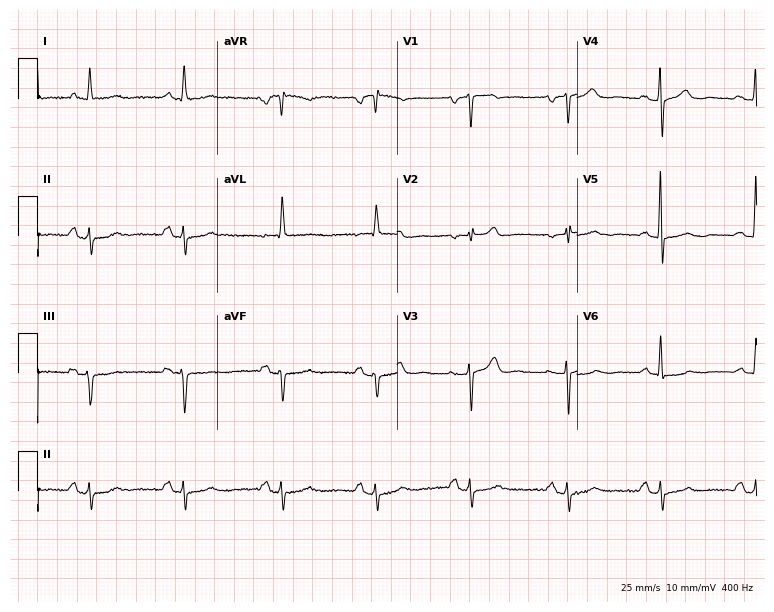
Electrocardiogram (7.3-second recording at 400 Hz), a female patient, 70 years old. Of the six screened findings (first-degree AV block, right bundle branch block (RBBB), left bundle branch block (LBBB), sinus bradycardia, atrial fibrillation (AF), sinus tachycardia), none is recorded.